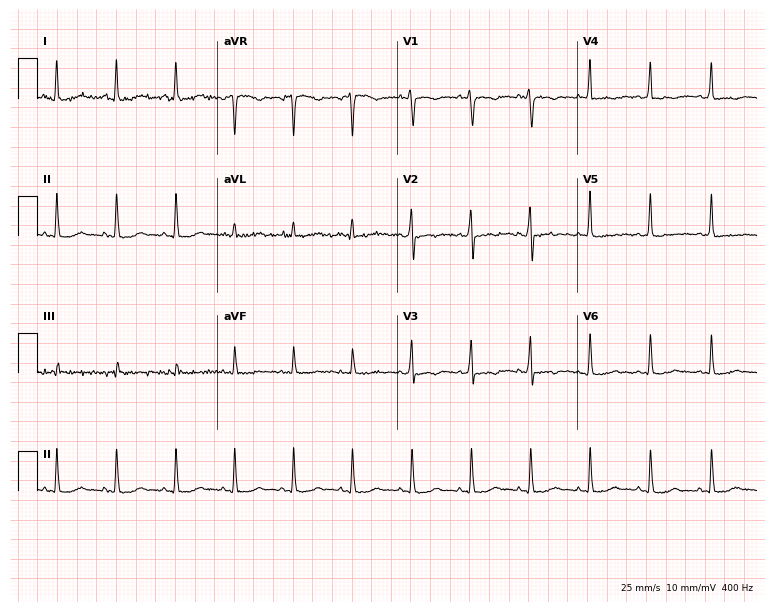
Standard 12-lead ECG recorded from a female patient, 33 years old. None of these six findings is recorded: first-degree AV block, right bundle branch block, left bundle branch block, sinus bradycardia, atrial fibrillation, sinus tachycardia.